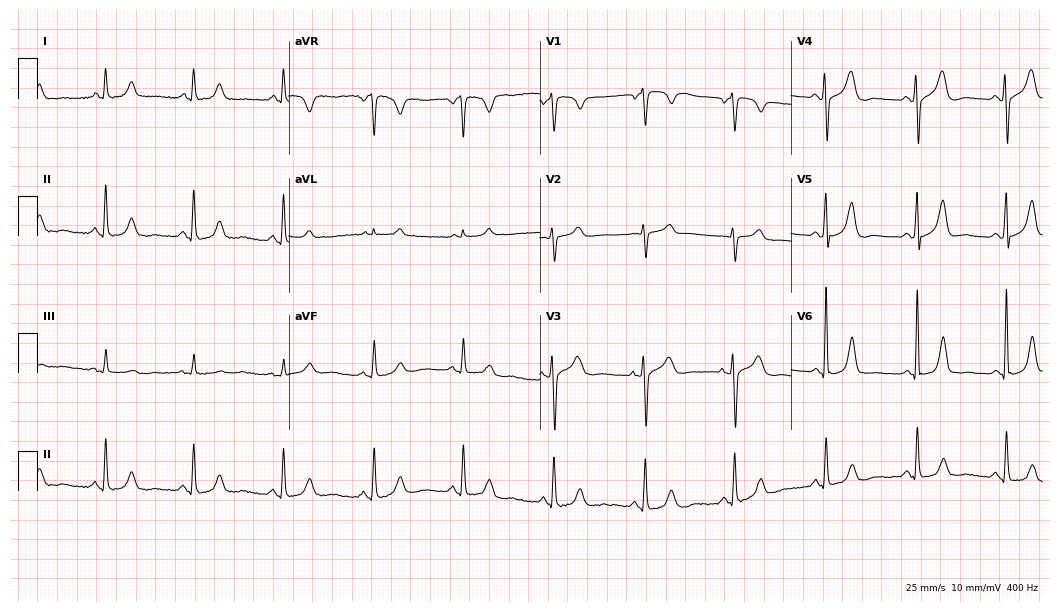
12-lead ECG from a 59-year-old woman. Labelled as a normal ECG.